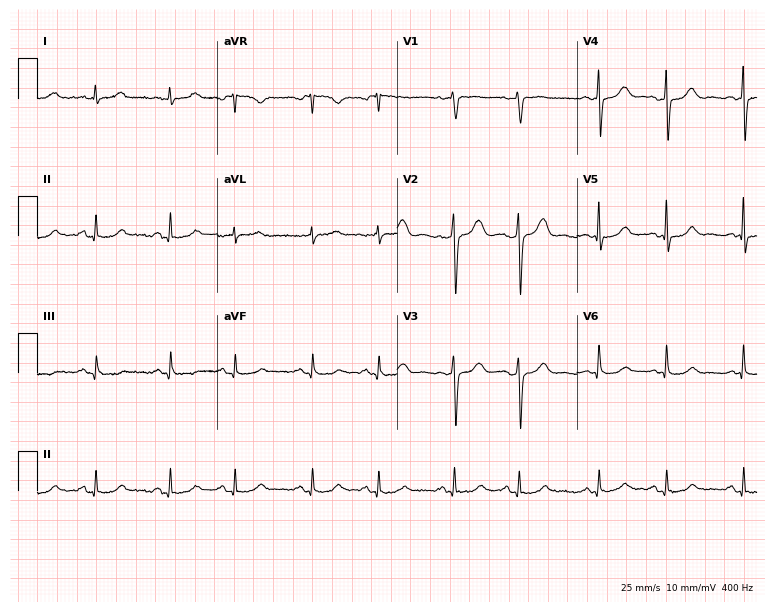
Resting 12-lead electrocardiogram. Patient: a female, 51 years old. None of these six findings is recorded: first-degree AV block, right bundle branch block, left bundle branch block, sinus bradycardia, atrial fibrillation, sinus tachycardia.